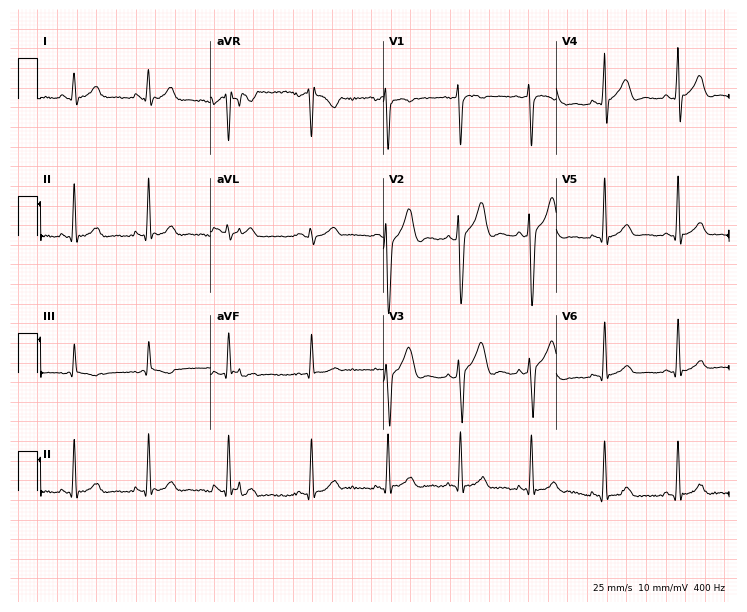
ECG (7.1-second recording at 400 Hz) — a man, 18 years old. Screened for six findings — first-degree AV block, right bundle branch block, left bundle branch block, sinus bradycardia, atrial fibrillation, sinus tachycardia — none is recorded.